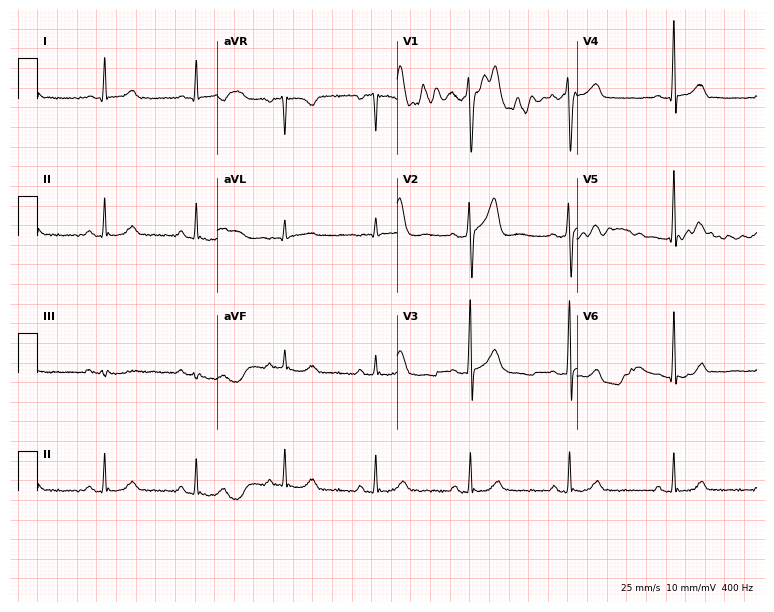
ECG (7.3-second recording at 400 Hz) — a male, 39 years old. Labelled as a normal ECG.